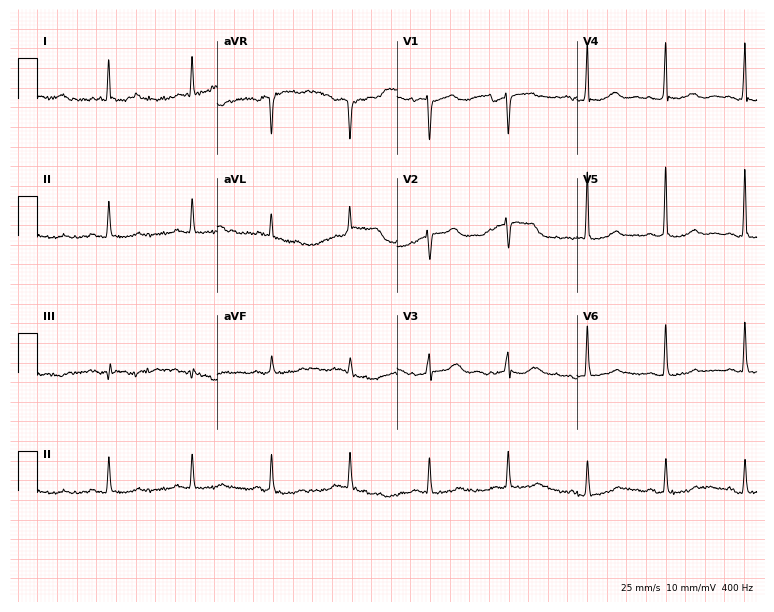
Resting 12-lead electrocardiogram. Patient: a 74-year-old woman. None of these six findings is recorded: first-degree AV block, right bundle branch block, left bundle branch block, sinus bradycardia, atrial fibrillation, sinus tachycardia. Other findings, if any, are not listed.